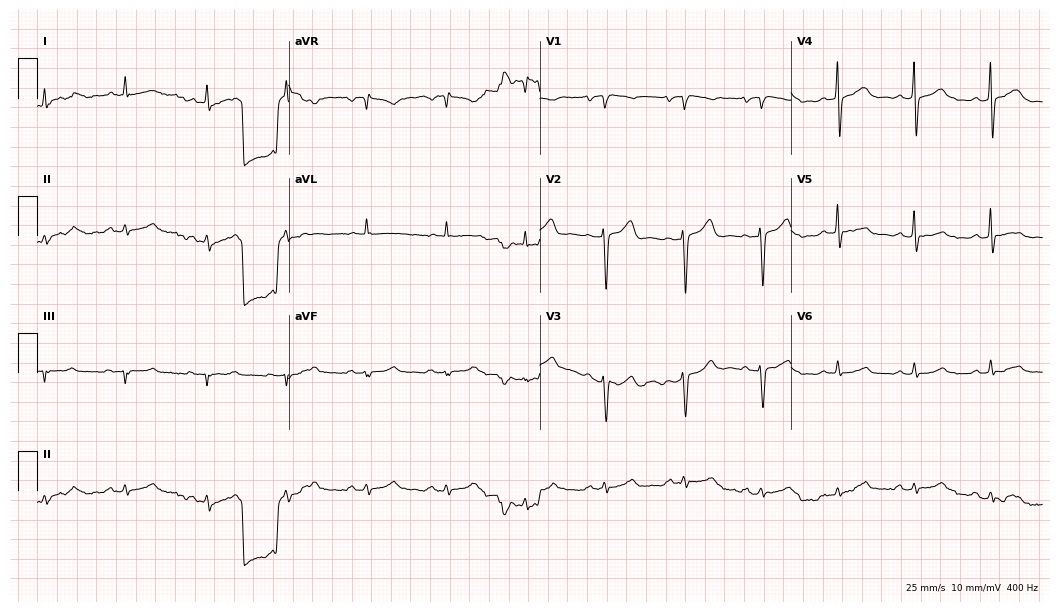
12-lead ECG (10.2-second recording at 400 Hz) from a woman, 83 years old. Findings include atrial fibrillation.